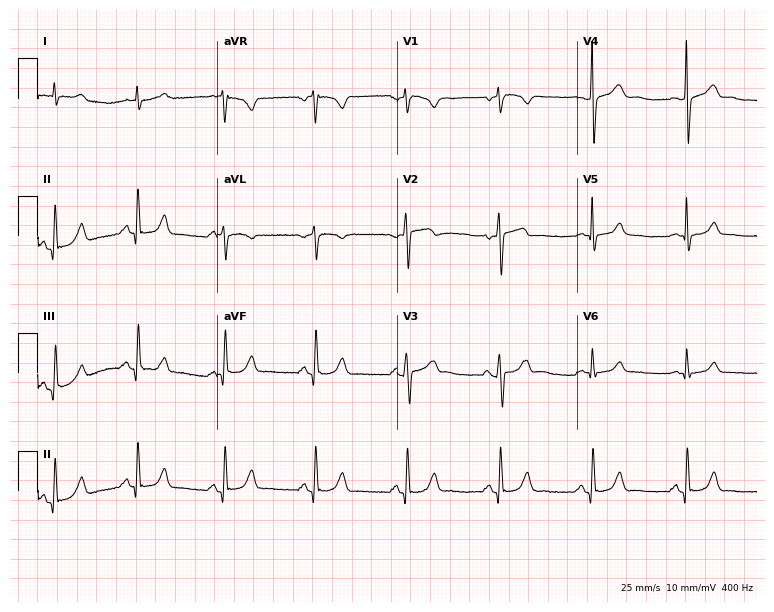
Resting 12-lead electrocardiogram (7.3-second recording at 400 Hz). Patient: a 67-year-old male. Read as a normal ECG.